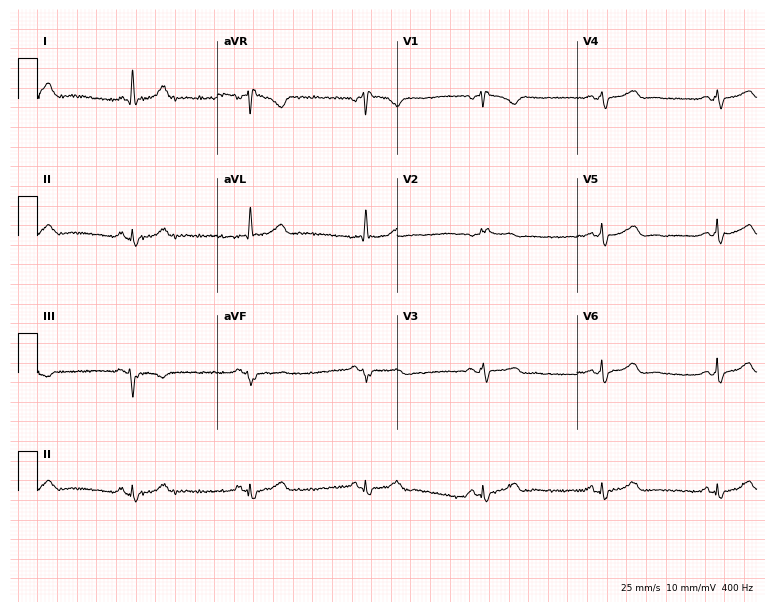
12-lead ECG from a woman, 52 years old. Findings include sinus bradycardia (a sinus rate of 50 beats per minute or less).